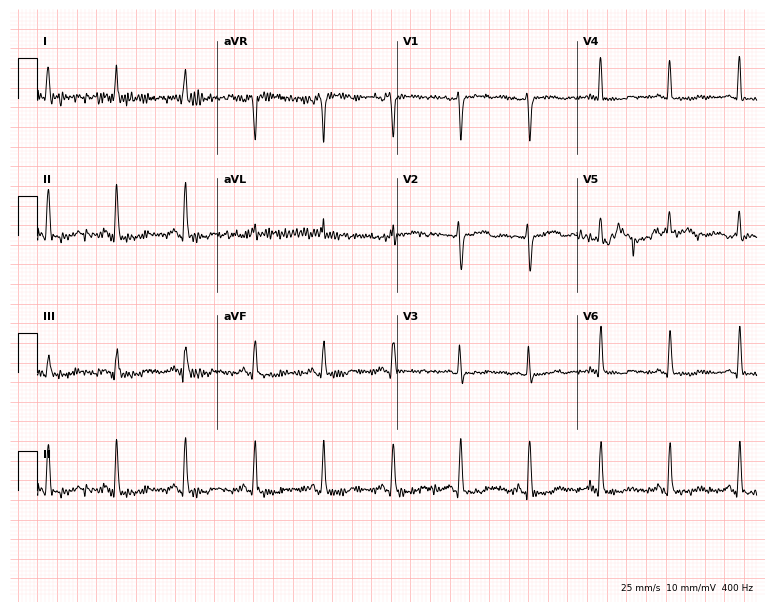
12-lead ECG from a 46-year-old woman. No first-degree AV block, right bundle branch block, left bundle branch block, sinus bradycardia, atrial fibrillation or sinus tachycardia recorded for this tracing.